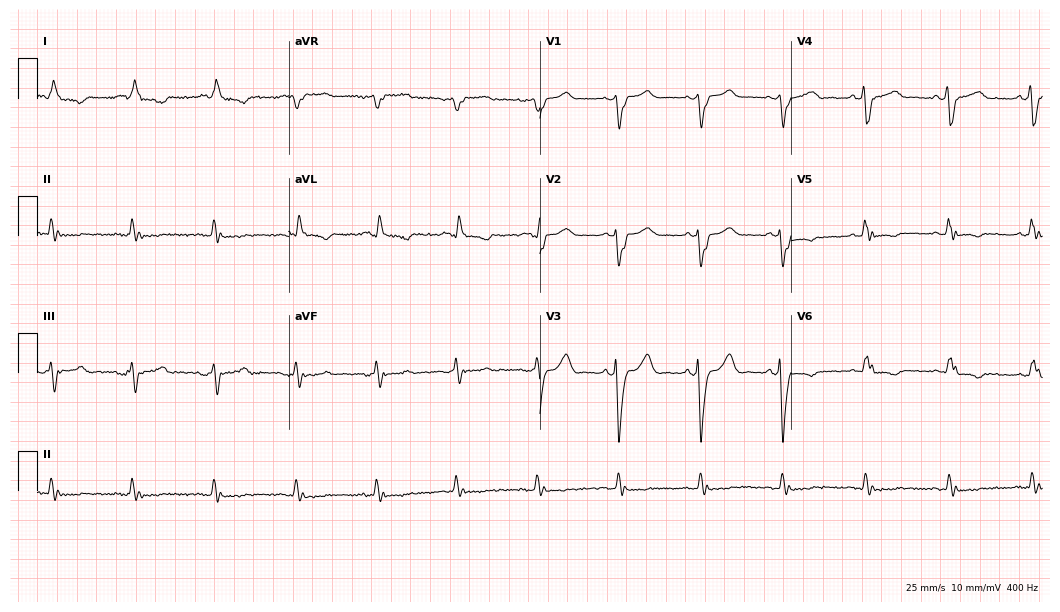
12-lead ECG (10.2-second recording at 400 Hz) from a 60-year-old male. Findings include left bundle branch block.